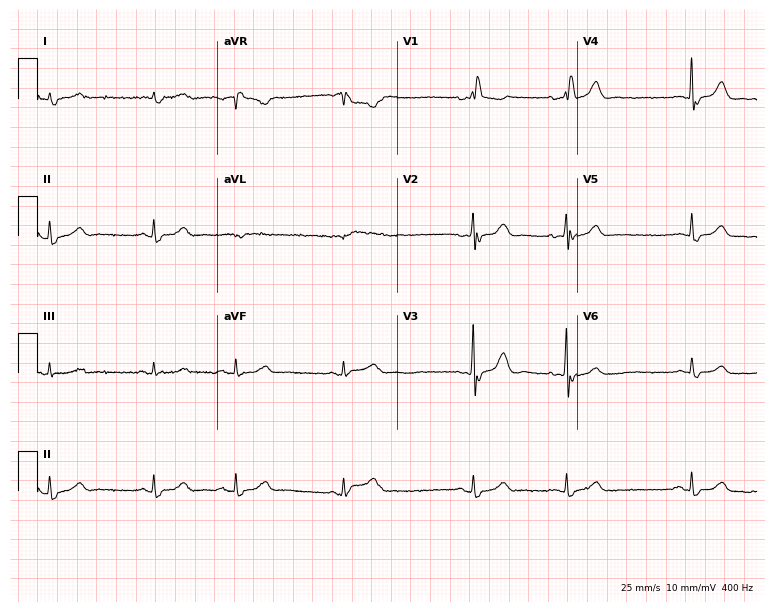
ECG (7.3-second recording at 400 Hz) — an 85-year-old male patient. Screened for six findings — first-degree AV block, right bundle branch block (RBBB), left bundle branch block (LBBB), sinus bradycardia, atrial fibrillation (AF), sinus tachycardia — none is recorded. Only these six findings were labelled.